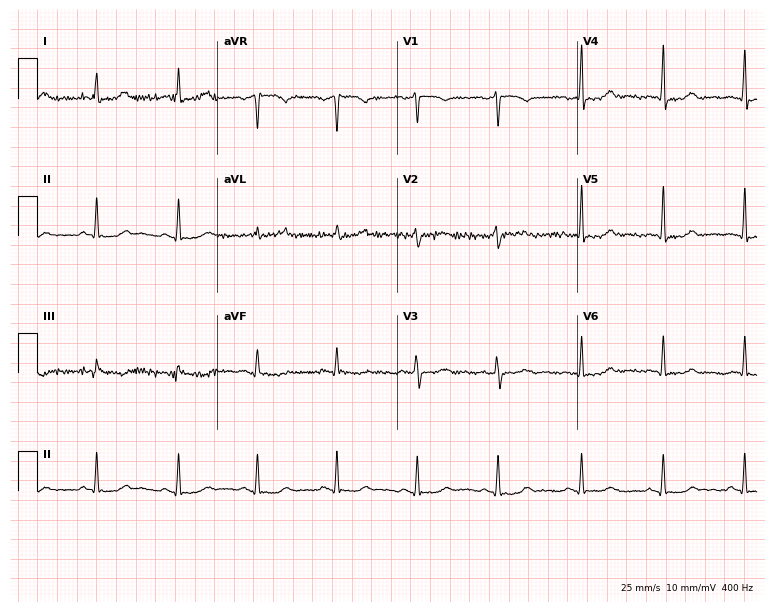
Standard 12-lead ECG recorded from a 39-year-old woman (7.3-second recording at 400 Hz). None of these six findings is recorded: first-degree AV block, right bundle branch block, left bundle branch block, sinus bradycardia, atrial fibrillation, sinus tachycardia.